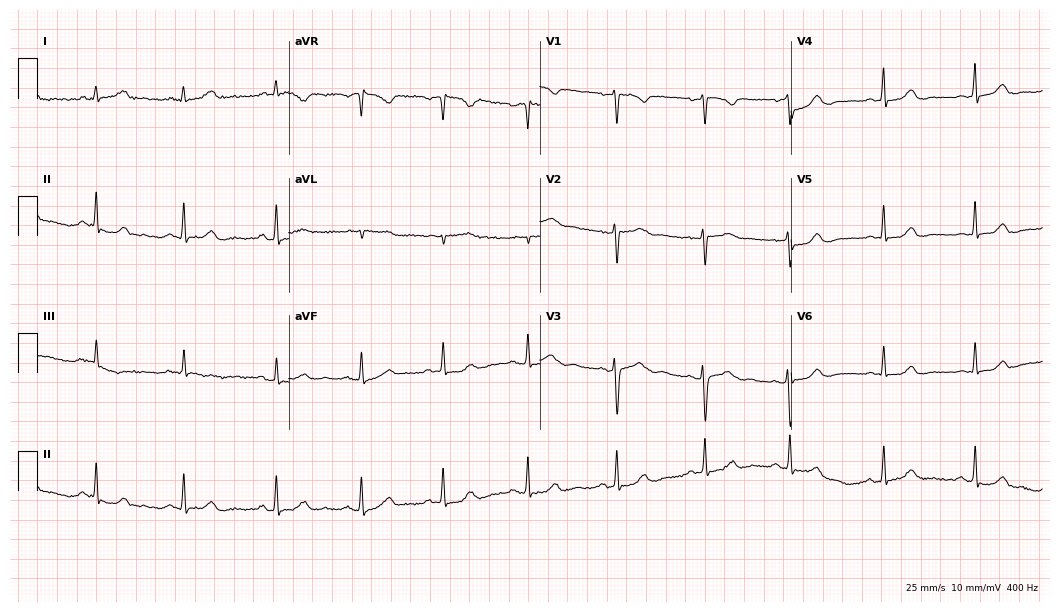
Standard 12-lead ECG recorded from a woman, 38 years old. Read as a normal ECG.